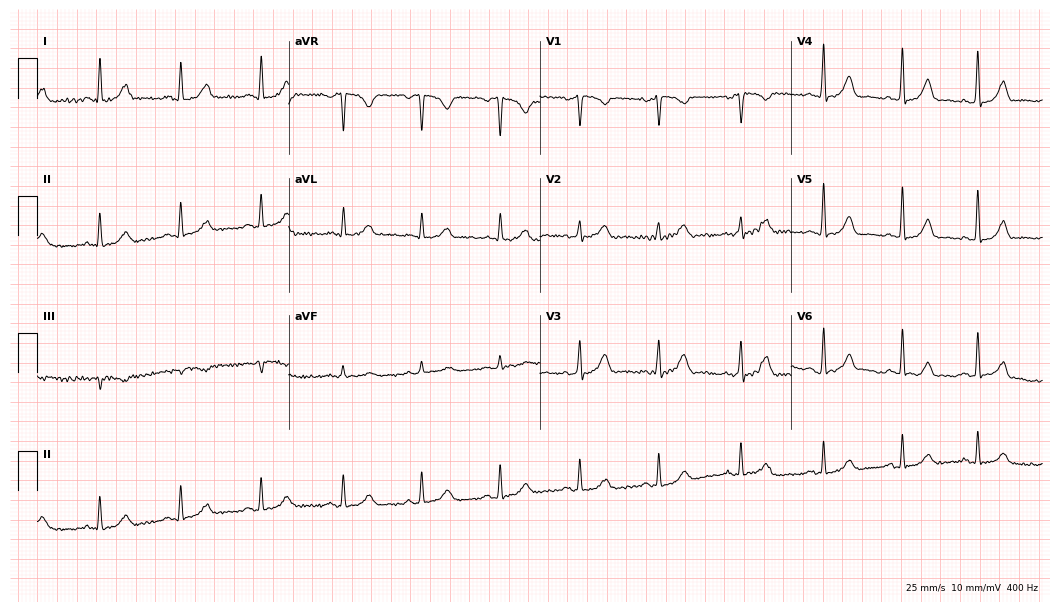
12-lead ECG from a 61-year-old woman (10.2-second recording at 400 Hz). Recorded interpretation: within normal limits.